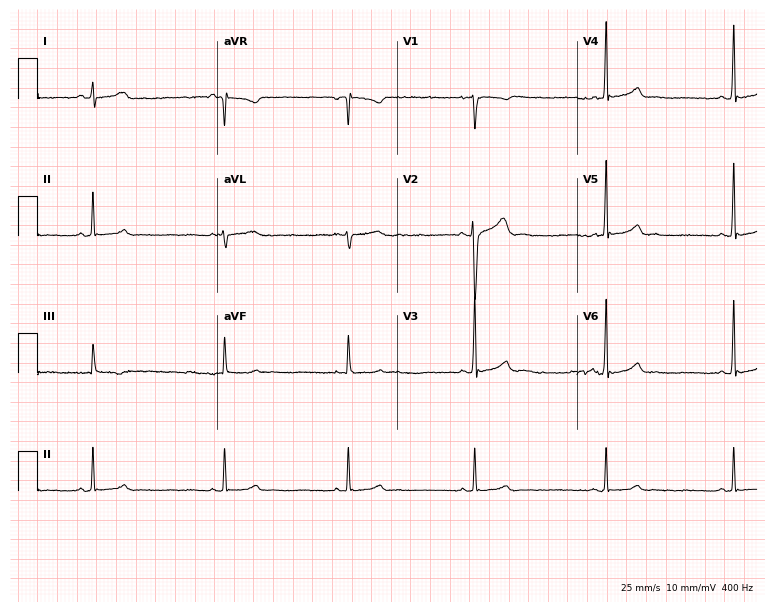
Standard 12-lead ECG recorded from a male, 17 years old (7.3-second recording at 400 Hz). The tracing shows sinus bradycardia (a sinus rate of 50 beats per minute or less).